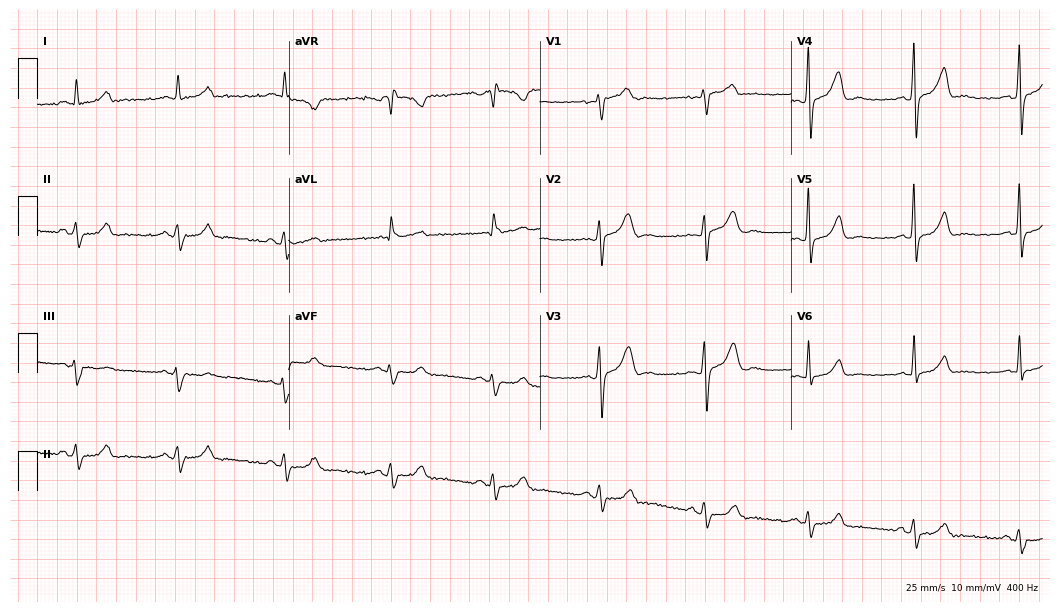
Electrocardiogram (10.2-second recording at 400 Hz), a 43-year-old woman. Of the six screened findings (first-degree AV block, right bundle branch block, left bundle branch block, sinus bradycardia, atrial fibrillation, sinus tachycardia), none is recorded.